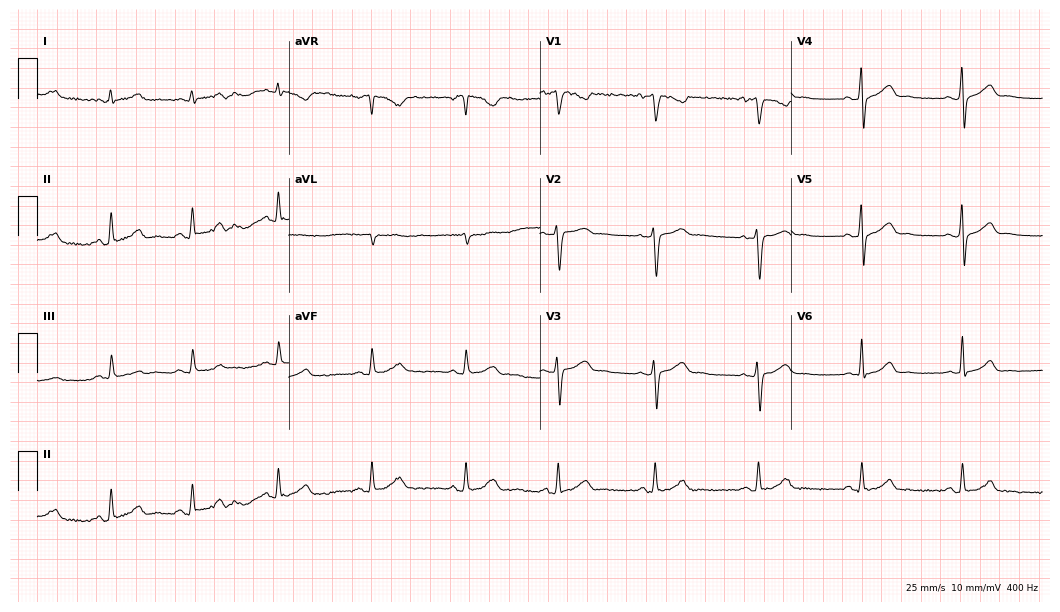
12-lead ECG from a woman, 35 years old. No first-degree AV block, right bundle branch block (RBBB), left bundle branch block (LBBB), sinus bradycardia, atrial fibrillation (AF) or sinus tachycardia recorded for this tracing. Findings outside these six are not listed.